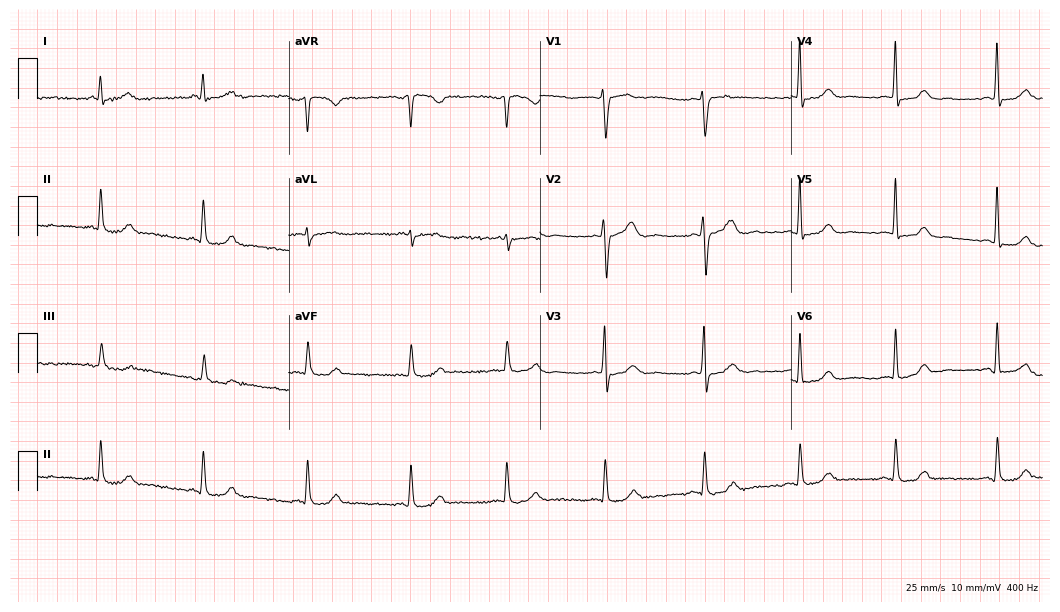
Resting 12-lead electrocardiogram (10.2-second recording at 400 Hz). Patient: a woman, 37 years old. Read as a normal ECG.